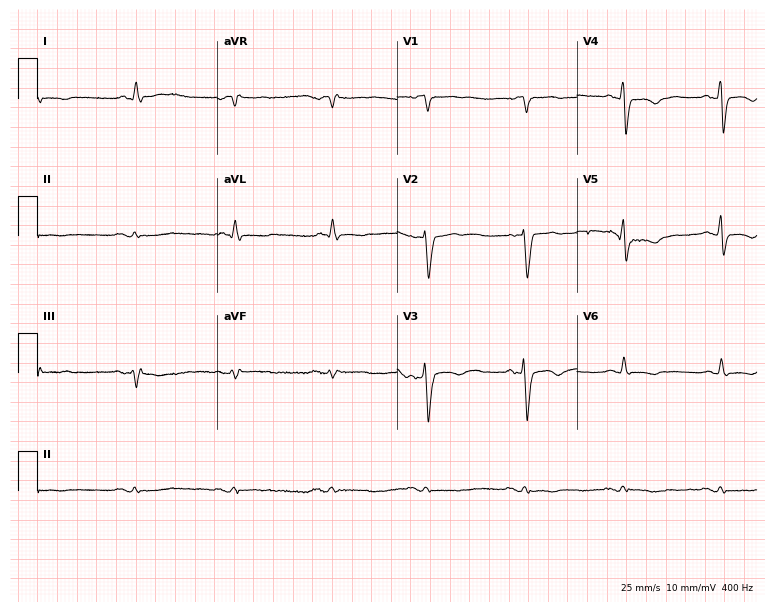
12-lead ECG (7.3-second recording at 400 Hz) from a man, 66 years old. Screened for six findings — first-degree AV block, right bundle branch block, left bundle branch block, sinus bradycardia, atrial fibrillation, sinus tachycardia — none is recorded. Findings outside these six are not listed.